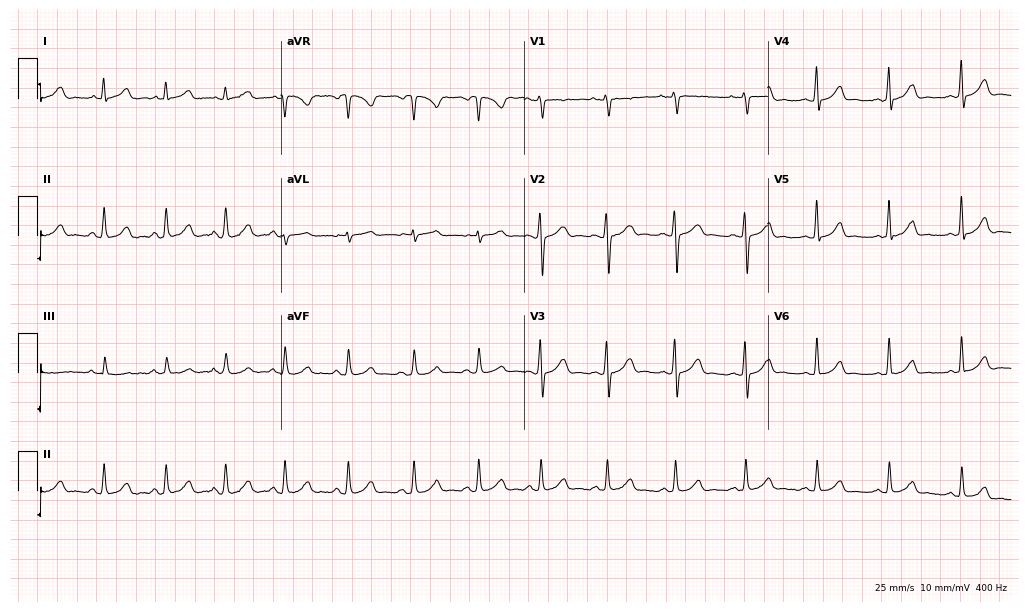
12-lead ECG (9.9-second recording at 400 Hz) from a 22-year-old woman. Labelled as a normal ECG.